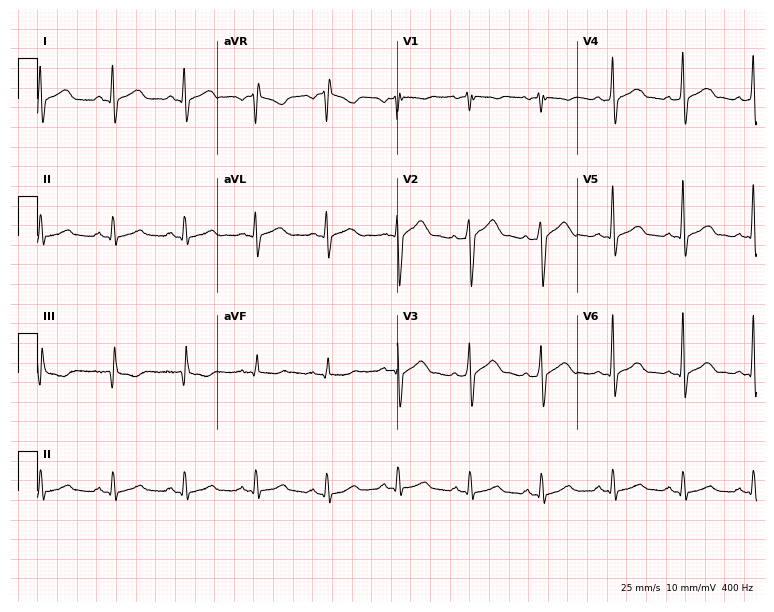
ECG (7.3-second recording at 400 Hz) — a man, 36 years old. Screened for six findings — first-degree AV block, right bundle branch block, left bundle branch block, sinus bradycardia, atrial fibrillation, sinus tachycardia — none is recorded. Only these six findings were labelled.